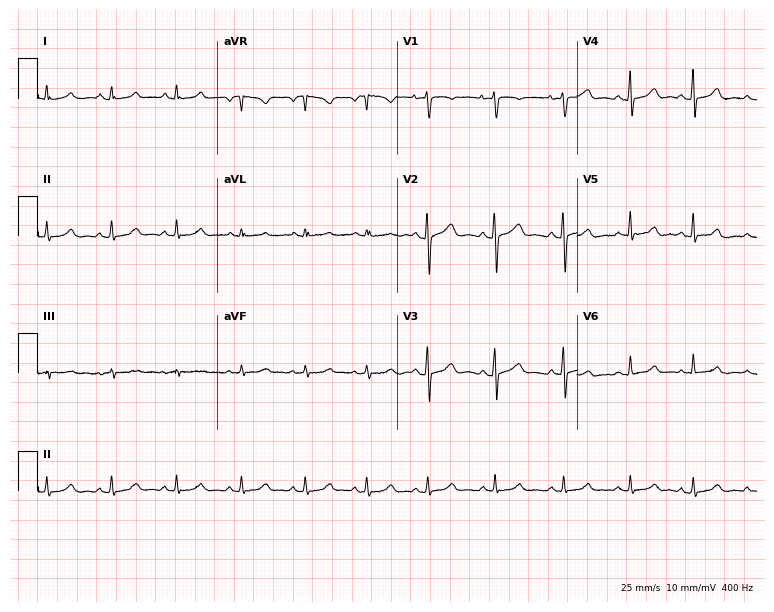
12-lead ECG from a female, 18 years old. Labelled as a normal ECG.